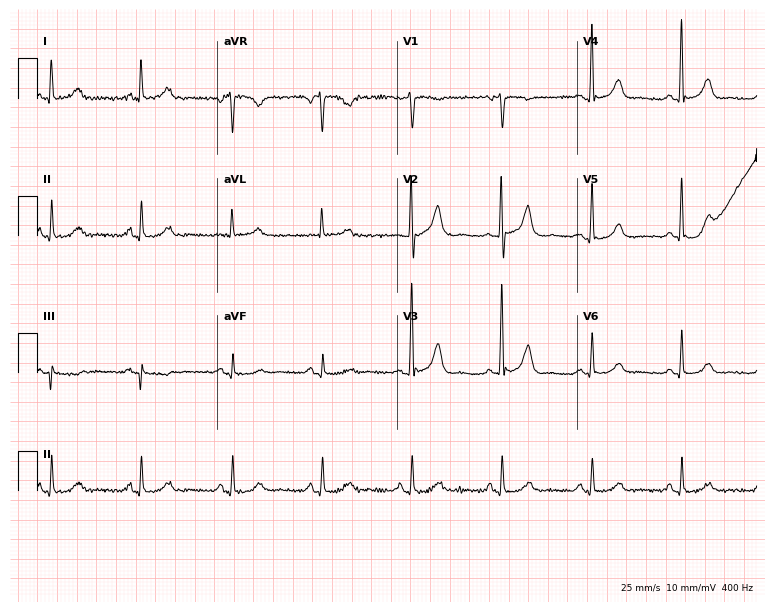
Standard 12-lead ECG recorded from a female patient, 84 years old. Read as a normal ECG.